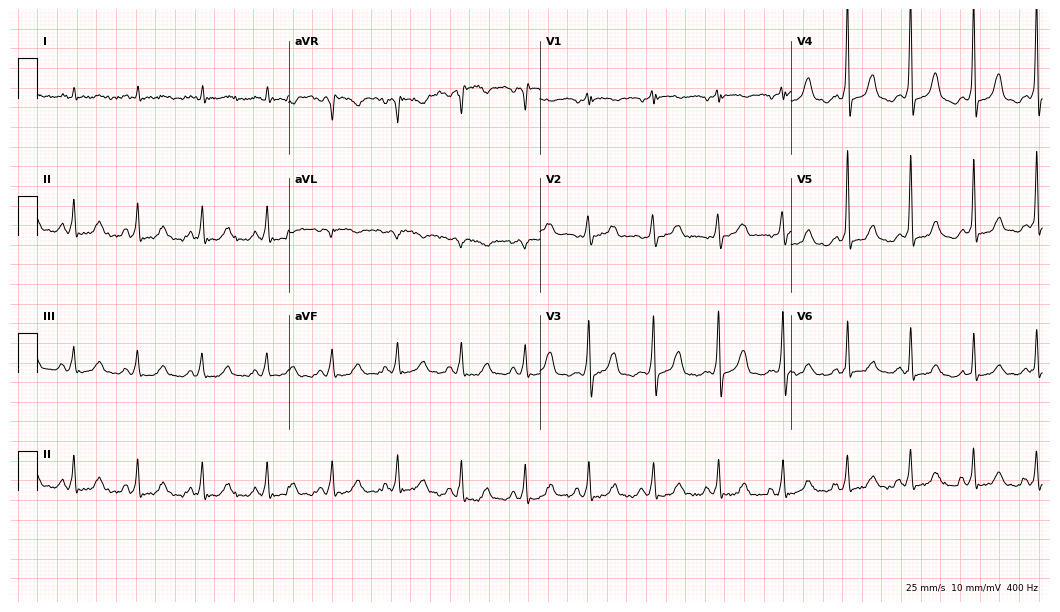
Standard 12-lead ECG recorded from an 85-year-old female. None of these six findings is recorded: first-degree AV block, right bundle branch block (RBBB), left bundle branch block (LBBB), sinus bradycardia, atrial fibrillation (AF), sinus tachycardia.